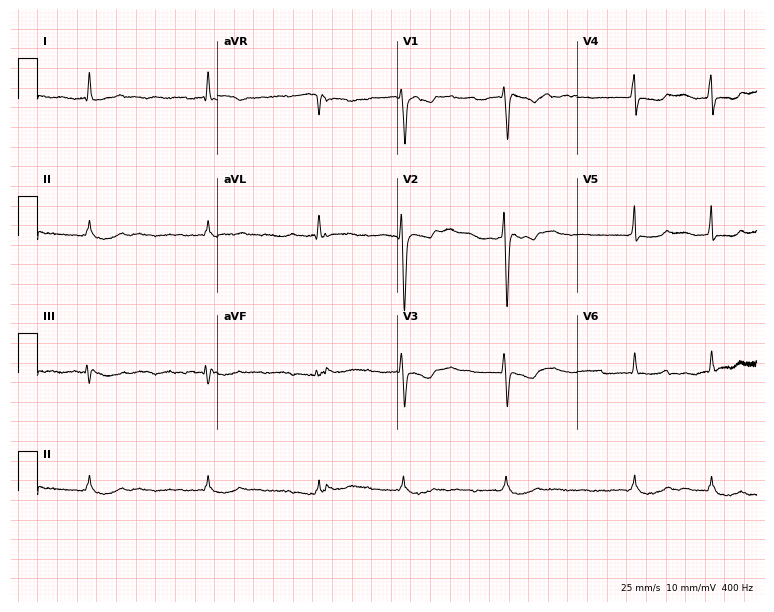
Resting 12-lead electrocardiogram (7.3-second recording at 400 Hz). Patient: a 50-year-old female. The tracing shows atrial fibrillation (AF).